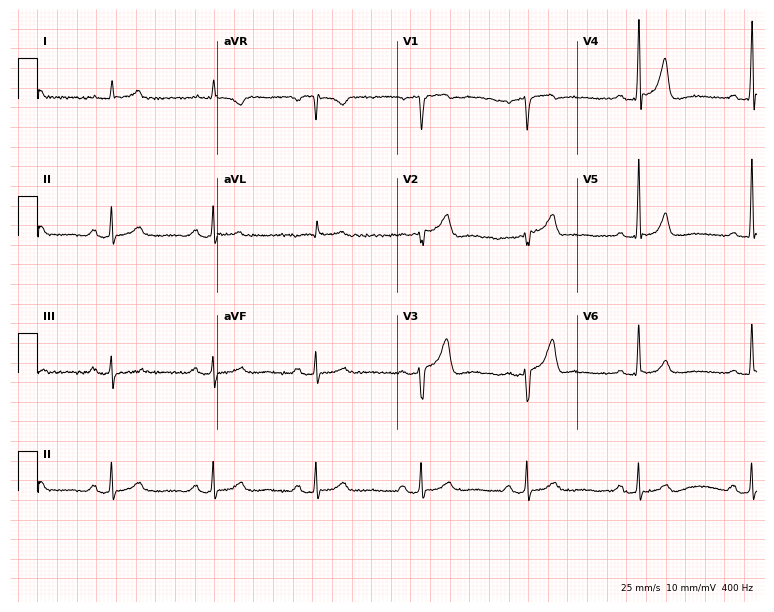
Electrocardiogram, a 79-year-old male. Of the six screened findings (first-degree AV block, right bundle branch block, left bundle branch block, sinus bradycardia, atrial fibrillation, sinus tachycardia), none is recorded.